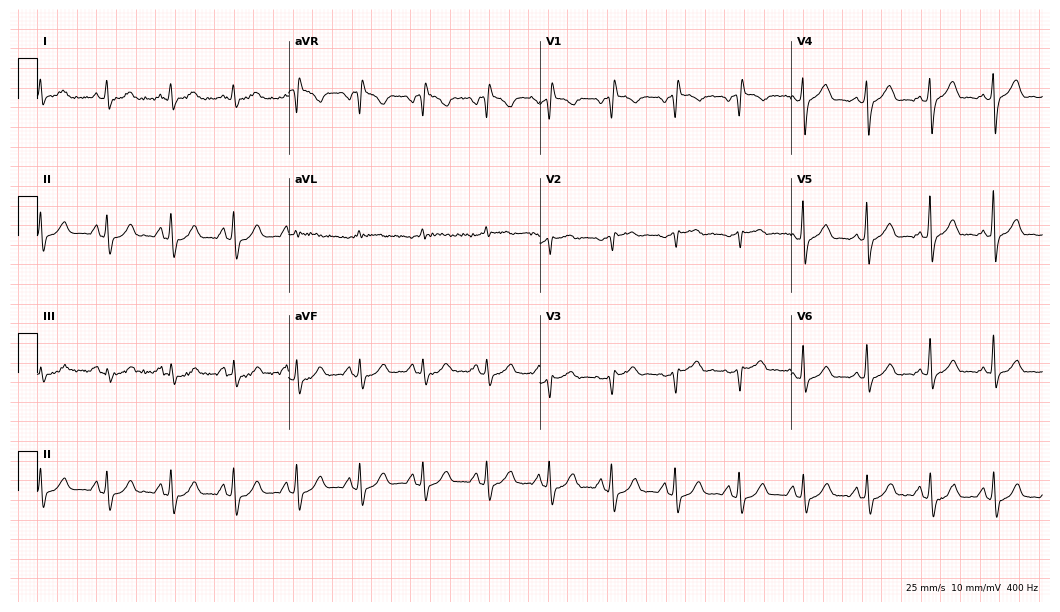
12-lead ECG from a 57-year-old woman. Screened for six findings — first-degree AV block, right bundle branch block, left bundle branch block, sinus bradycardia, atrial fibrillation, sinus tachycardia — none is recorded. Only these six findings were labelled.